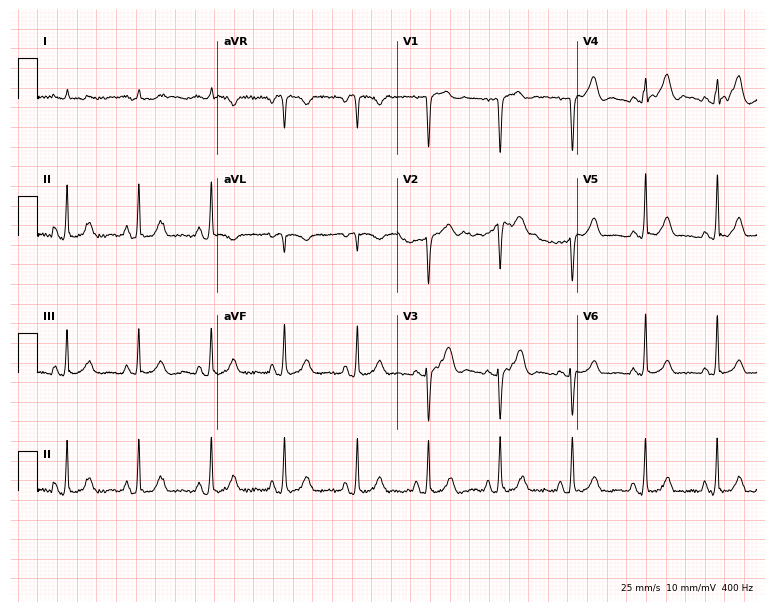
ECG — a male patient, 71 years old. Screened for six findings — first-degree AV block, right bundle branch block (RBBB), left bundle branch block (LBBB), sinus bradycardia, atrial fibrillation (AF), sinus tachycardia — none is recorded.